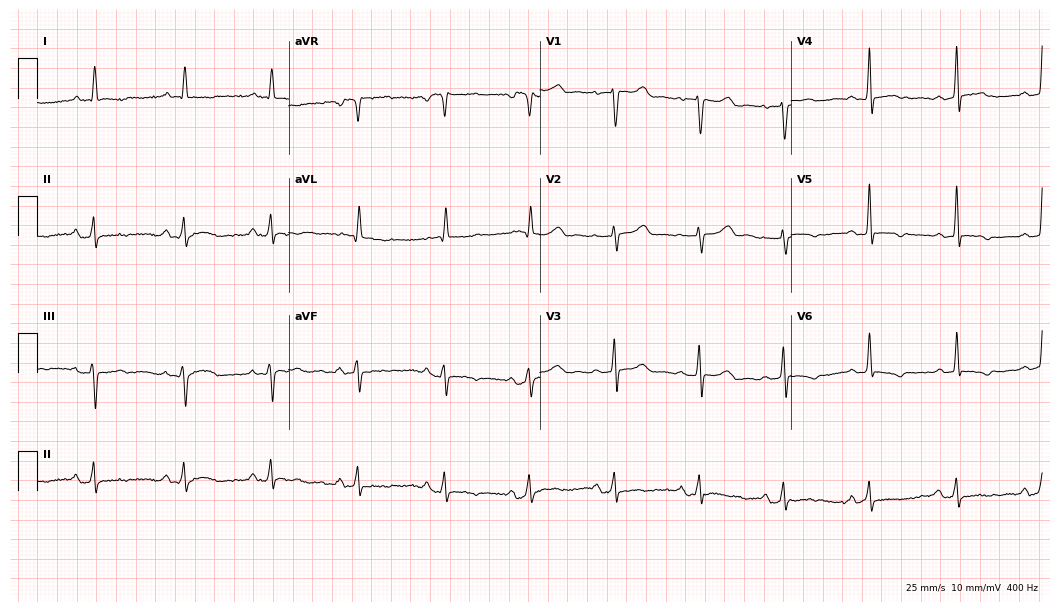
Standard 12-lead ECG recorded from a 64-year-old female patient (10.2-second recording at 400 Hz). None of these six findings is recorded: first-degree AV block, right bundle branch block, left bundle branch block, sinus bradycardia, atrial fibrillation, sinus tachycardia.